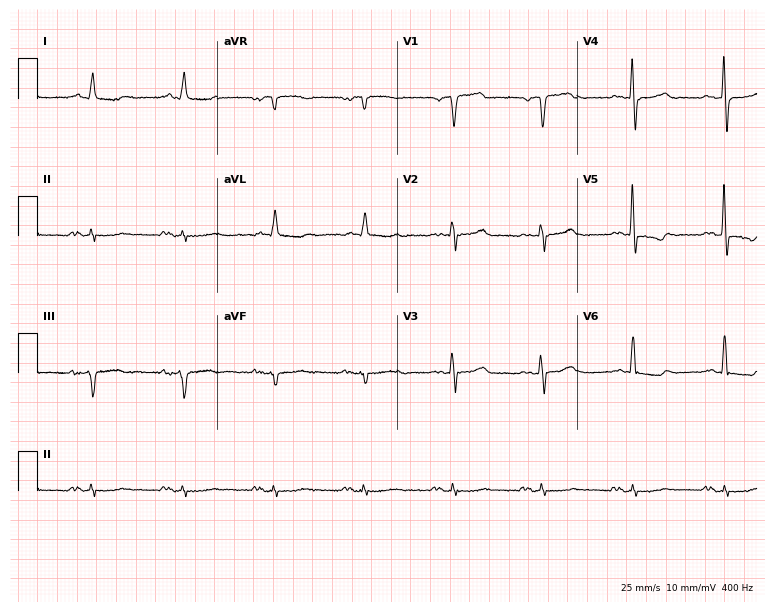
Standard 12-lead ECG recorded from a 63-year-old male patient (7.3-second recording at 400 Hz). None of these six findings is recorded: first-degree AV block, right bundle branch block (RBBB), left bundle branch block (LBBB), sinus bradycardia, atrial fibrillation (AF), sinus tachycardia. Only these six findings were labelled.